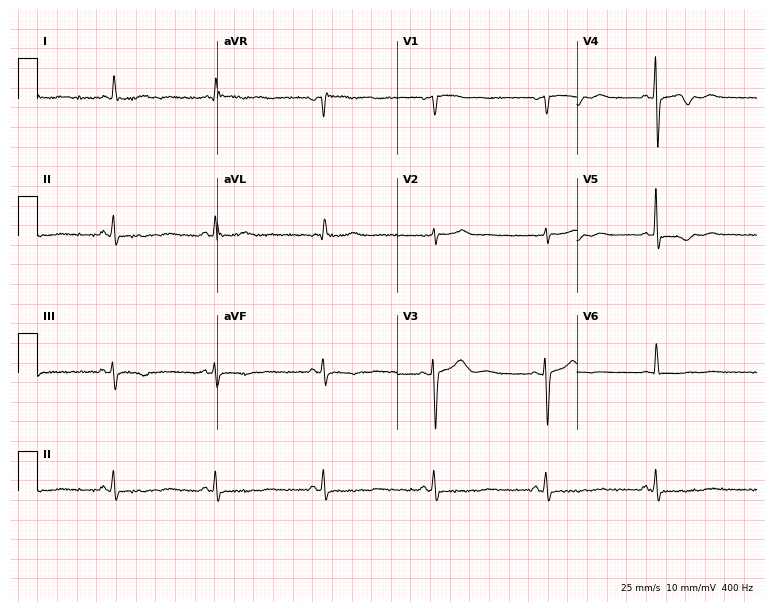
12-lead ECG from a woman, 59 years old. Screened for six findings — first-degree AV block, right bundle branch block, left bundle branch block, sinus bradycardia, atrial fibrillation, sinus tachycardia — none is recorded. Other findings, if any, are not listed.